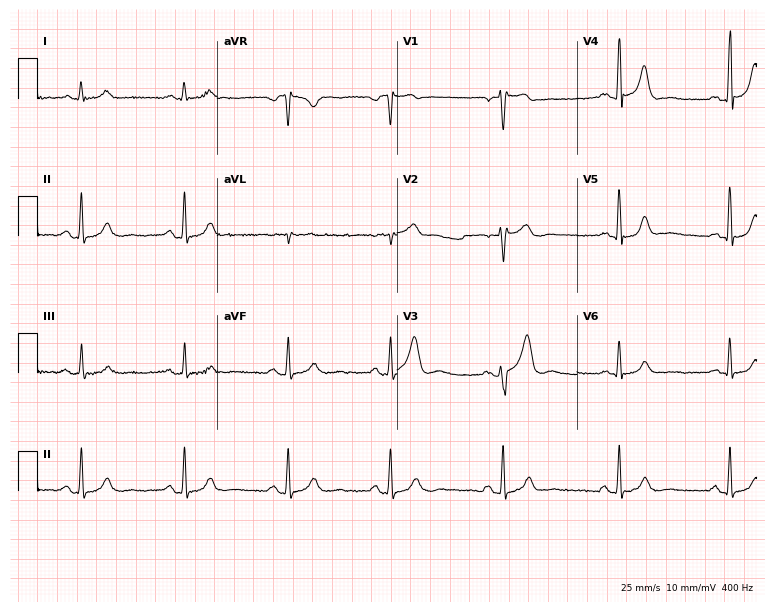
Standard 12-lead ECG recorded from a 36-year-old male. None of these six findings is recorded: first-degree AV block, right bundle branch block, left bundle branch block, sinus bradycardia, atrial fibrillation, sinus tachycardia.